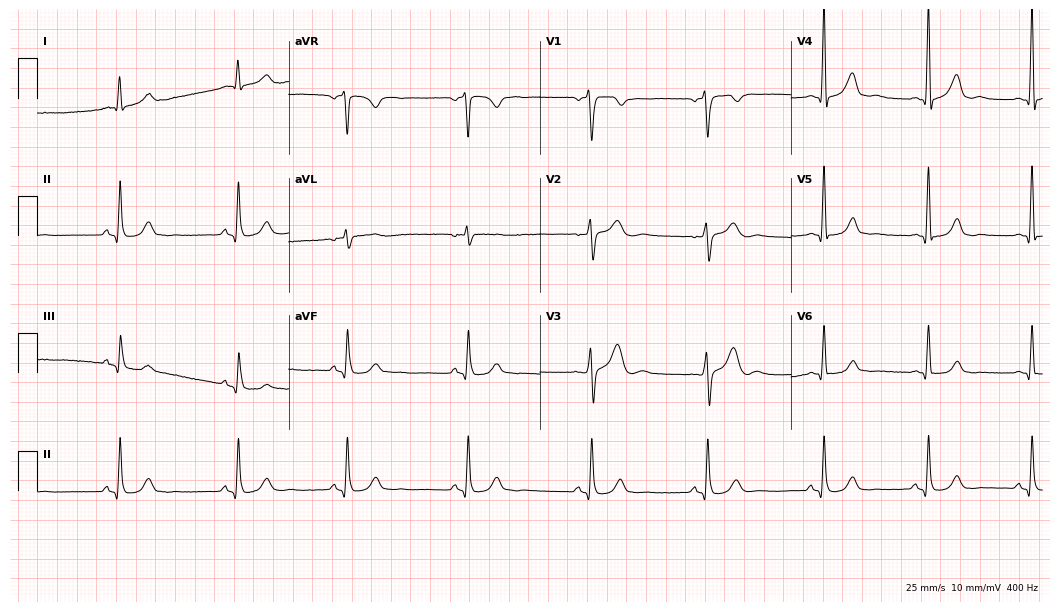
12-lead ECG from a 36-year-old man. No first-degree AV block, right bundle branch block, left bundle branch block, sinus bradycardia, atrial fibrillation or sinus tachycardia recorded for this tracing.